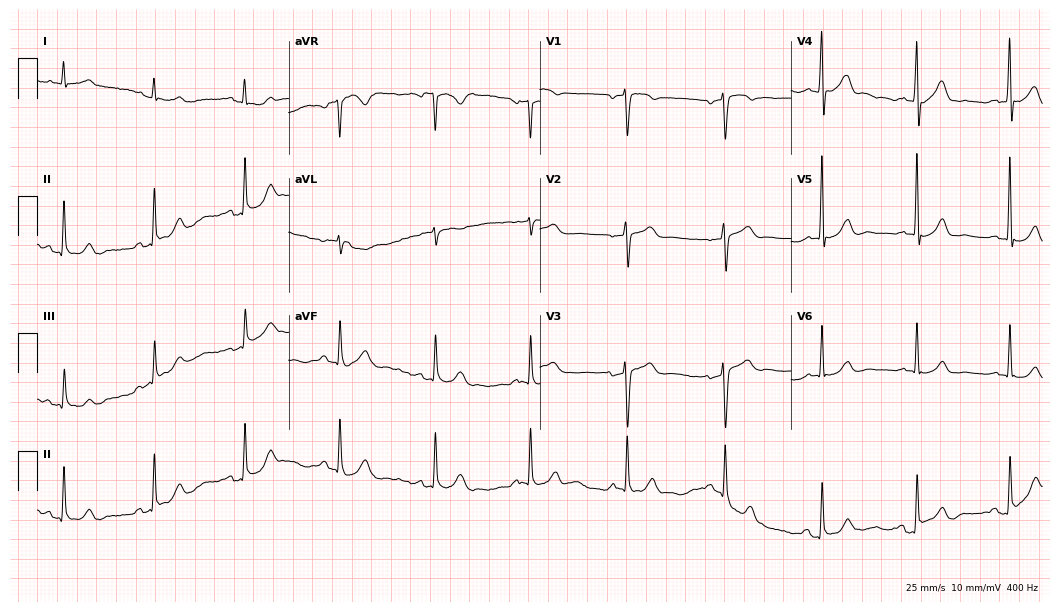
Electrocardiogram (10.2-second recording at 400 Hz), a 53-year-old male patient. Overall reading on record: normal ECG.